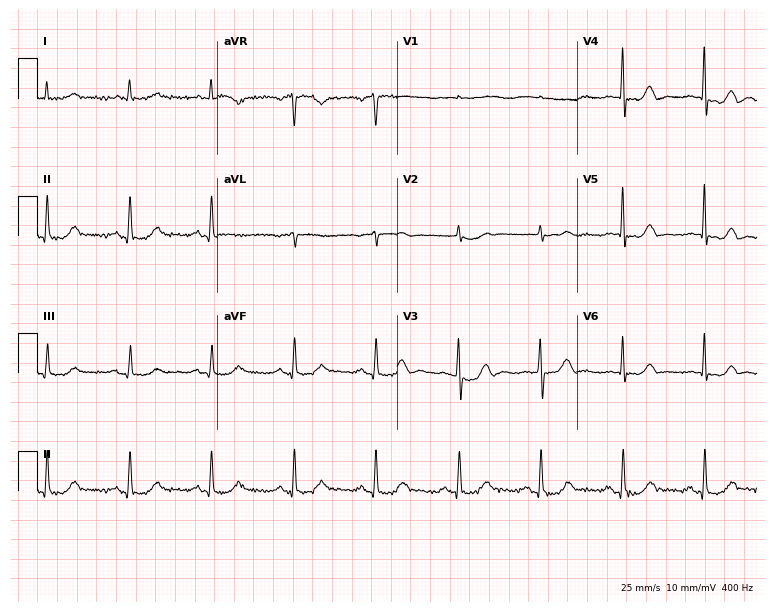
ECG (7.3-second recording at 400 Hz) — an 82-year-old male. Screened for six findings — first-degree AV block, right bundle branch block, left bundle branch block, sinus bradycardia, atrial fibrillation, sinus tachycardia — none is recorded.